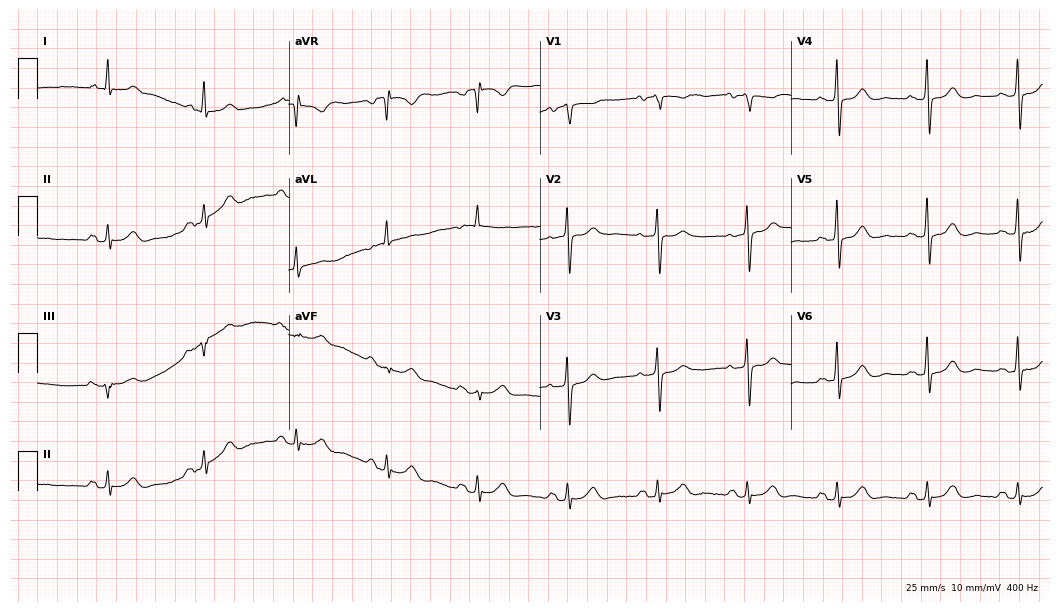
ECG (10.2-second recording at 400 Hz) — a woman, 76 years old. Labelled as a normal ECG.